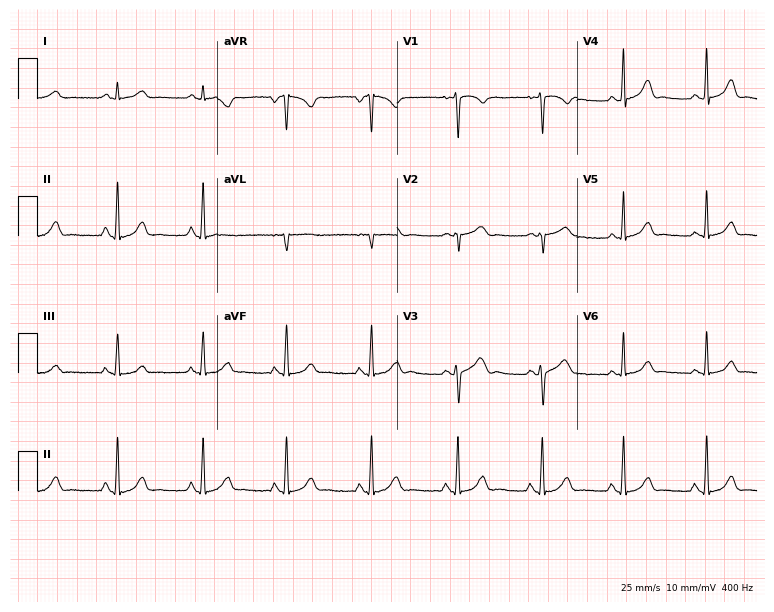
12-lead ECG (7.3-second recording at 400 Hz) from a 23-year-old woman. Screened for six findings — first-degree AV block, right bundle branch block (RBBB), left bundle branch block (LBBB), sinus bradycardia, atrial fibrillation (AF), sinus tachycardia — none is recorded.